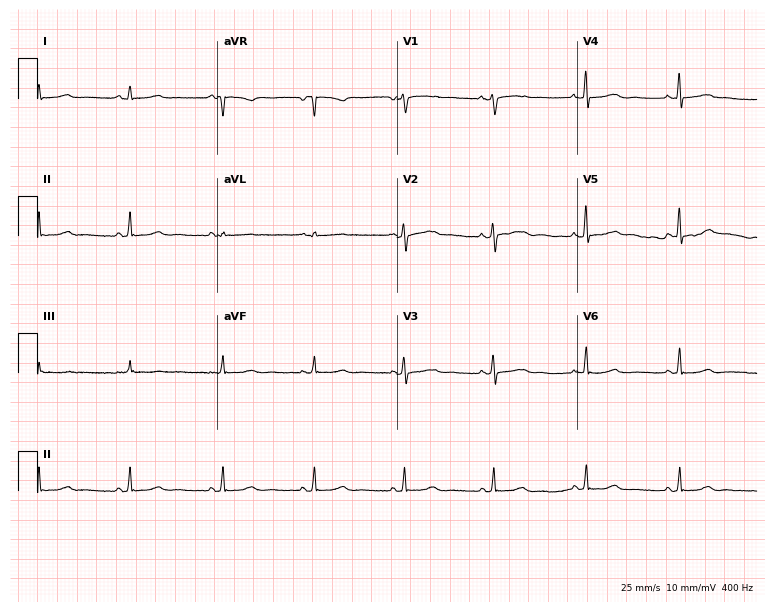
12-lead ECG (7.3-second recording at 400 Hz) from a female patient, 54 years old. Screened for six findings — first-degree AV block, right bundle branch block, left bundle branch block, sinus bradycardia, atrial fibrillation, sinus tachycardia — none is recorded. Findings outside these six are not listed.